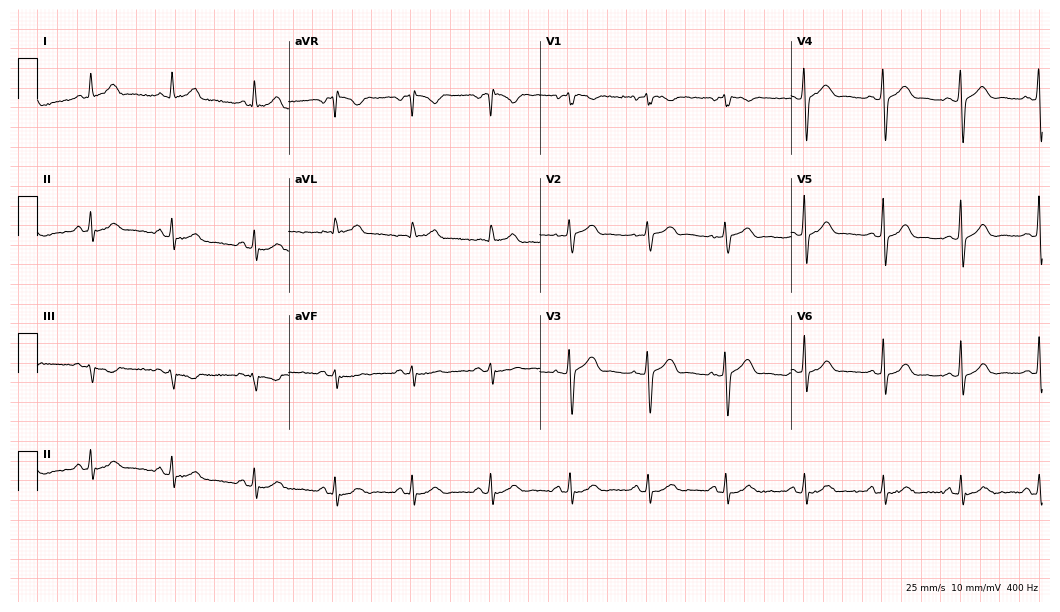
Electrocardiogram, a 23-year-old female. Overall reading on record: normal ECG.